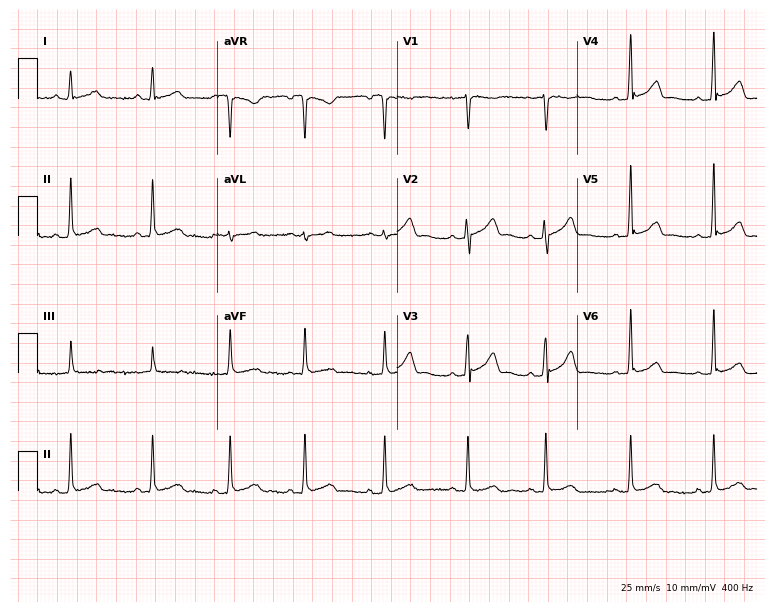
Resting 12-lead electrocardiogram (7.3-second recording at 400 Hz). Patient: an 18-year-old woman. Read as a normal ECG.